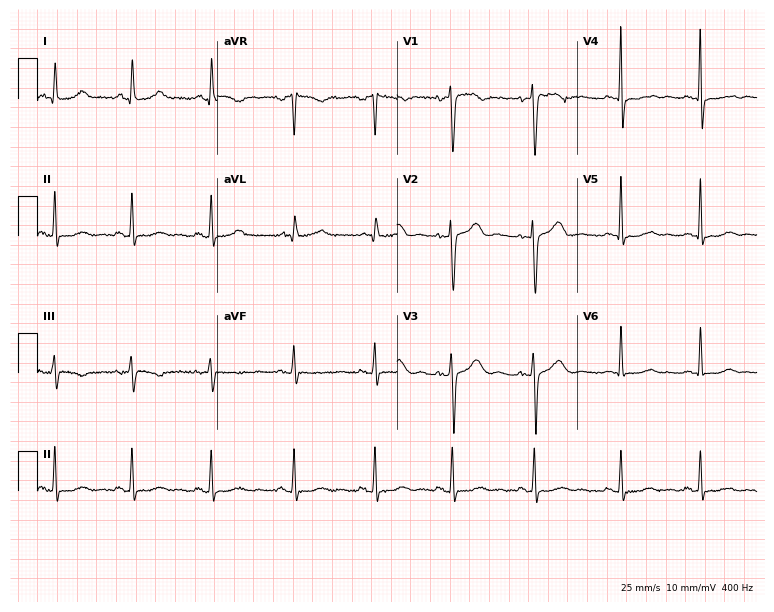
12-lead ECG from a male patient, 59 years old. Screened for six findings — first-degree AV block, right bundle branch block, left bundle branch block, sinus bradycardia, atrial fibrillation, sinus tachycardia — none is recorded. Only these six findings were labelled.